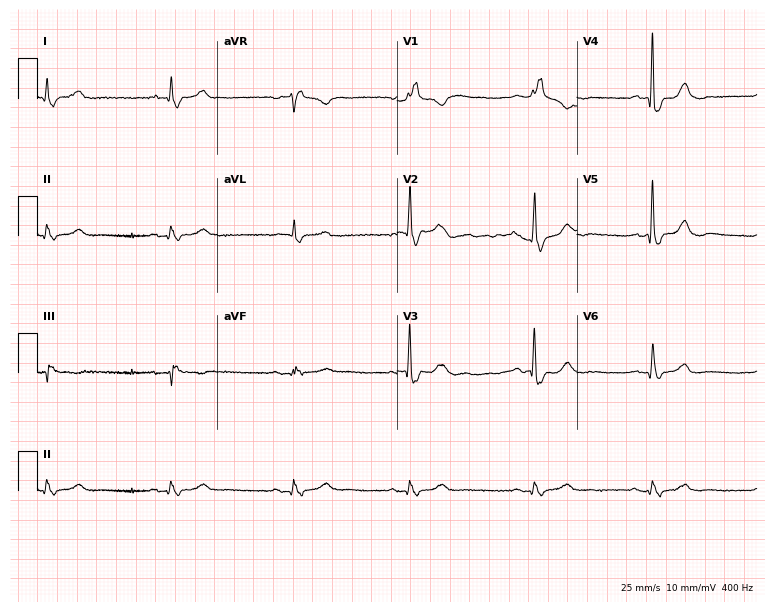
ECG — a man, 77 years old. Findings include right bundle branch block.